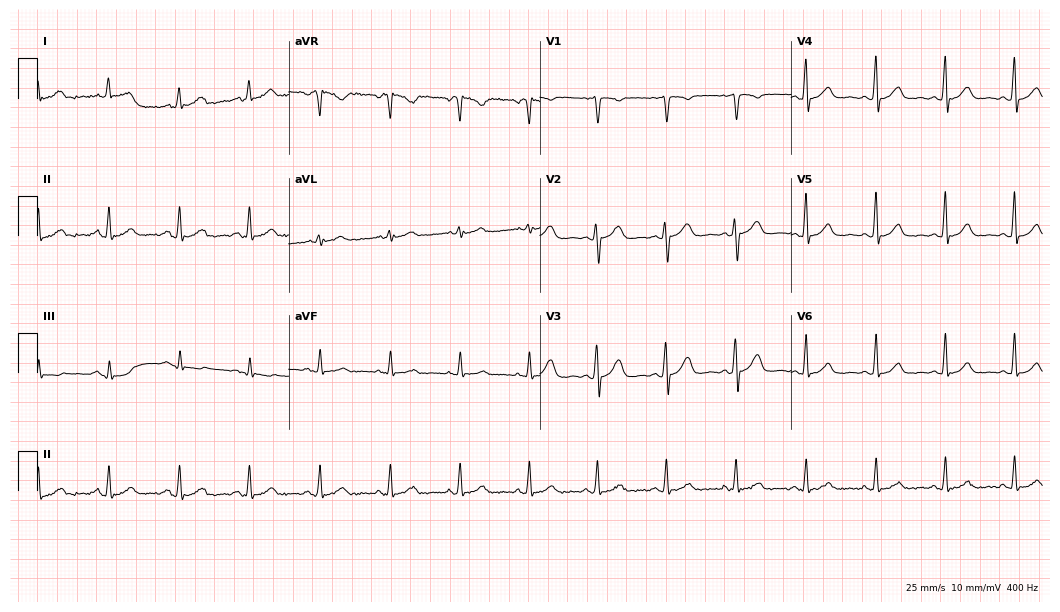
ECG (10.2-second recording at 400 Hz) — a 40-year-old woman. Screened for six findings — first-degree AV block, right bundle branch block, left bundle branch block, sinus bradycardia, atrial fibrillation, sinus tachycardia — none is recorded.